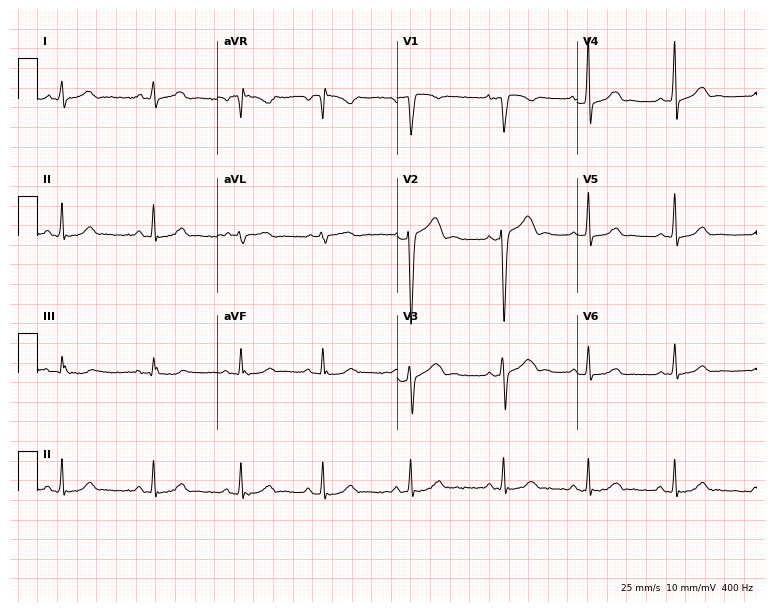
12-lead ECG from a male, 17 years old. No first-degree AV block, right bundle branch block (RBBB), left bundle branch block (LBBB), sinus bradycardia, atrial fibrillation (AF) or sinus tachycardia recorded for this tracing. Other findings, if any, are not listed.